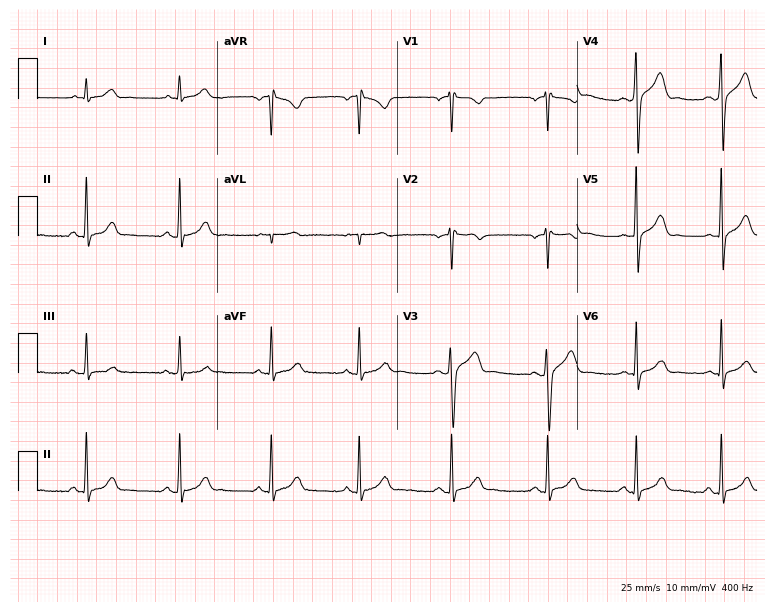
ECG (7.3-second recording at 400 Hz) — a 26-year-old male. Labelled as a normal ECG.